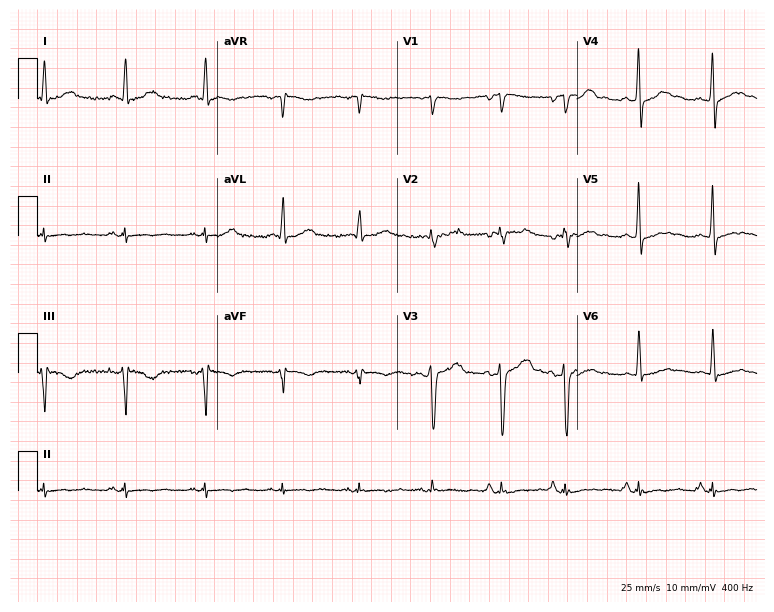
12-lead ECG from a male, 50 years old (7.3-second recording at 400 Hz). No first-degree AV block, right bundle branch block (RBBB), left bundle branch block (LBBB), sinus bradycardia, atrial fibrillation (AF) or sinus tachycardia recorded for this tracing.